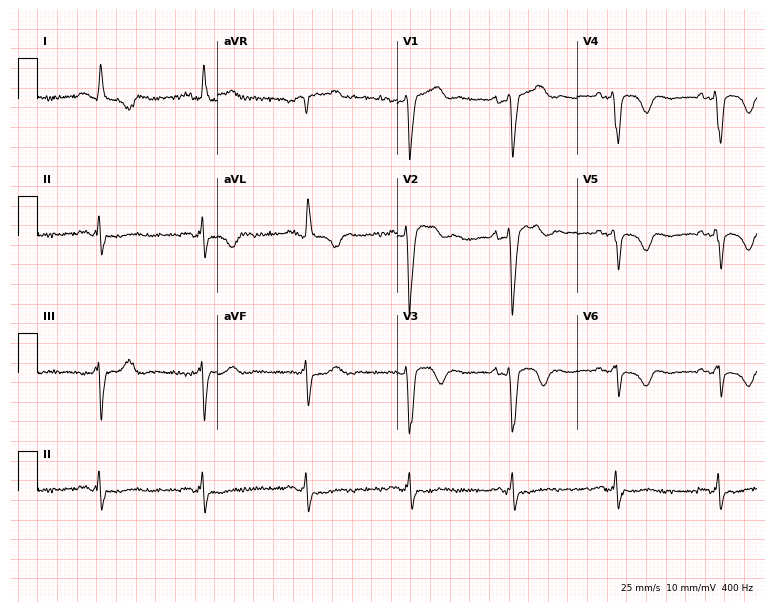
Resting 12-lead electrocardiogram (7.3-second recording at 400 Hz). Patient: a male, 66 years old. None of these six findings is recorded: first-degree AV block, right bundle branch block, left bundle branch block, sinus bradycardia, atrial fibrillation, sinus tachycardia.